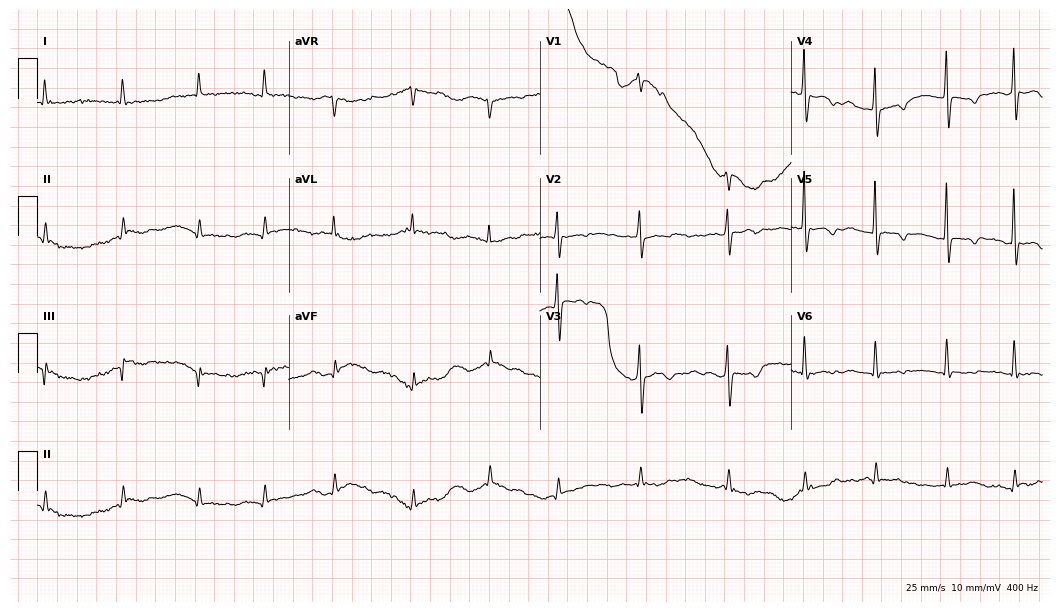
12-lead ECG from a female patient, 73 years old. Findings include atrial fibrillation.